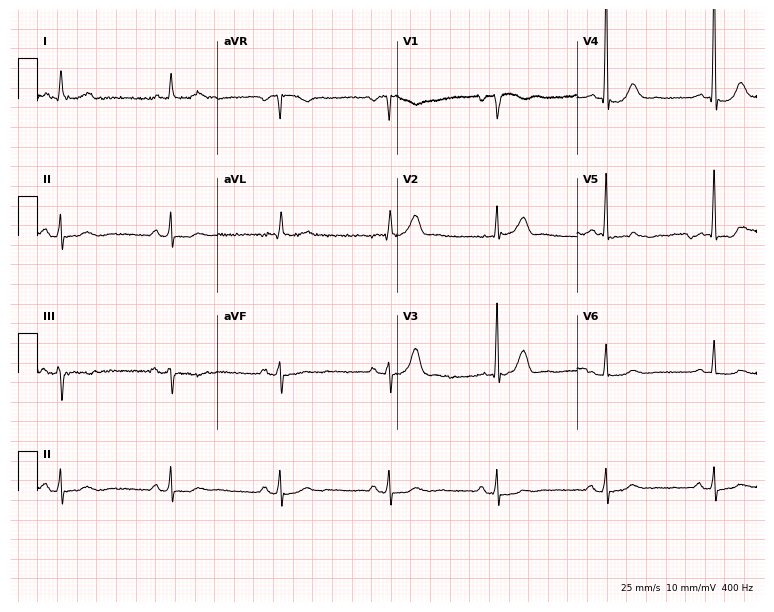
Resting 12-lead electrocardiogram (7.3-second recording at 400 Hz). Patient: a 75-year-old male. Read as a normal ECG.